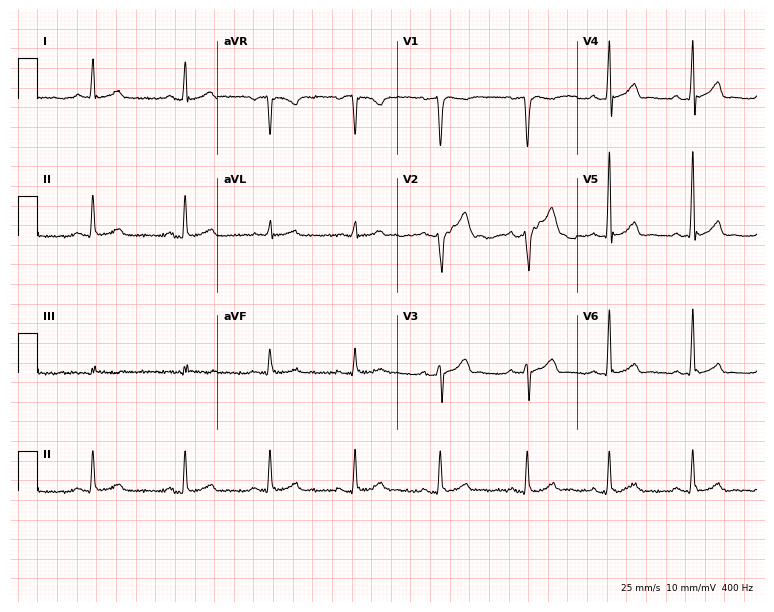
ECG (7.3-second recording at 400 Hz) — a 37-year-old man. Labelled as a normal ECG.